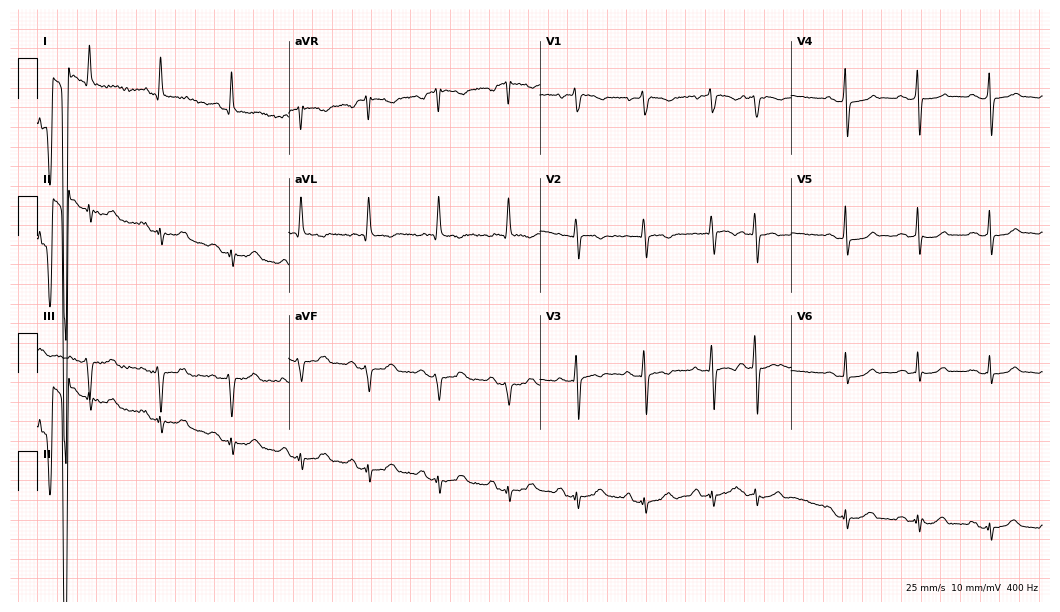
Resting 12-lead electrocardiogram. Patient: a female, 71 years old. None of these six findings is recorded: first-degree AV block, right bundle branch block, left bundle branch block, sinus bradycardia, atrial fibrillation, sinus tachycardia.